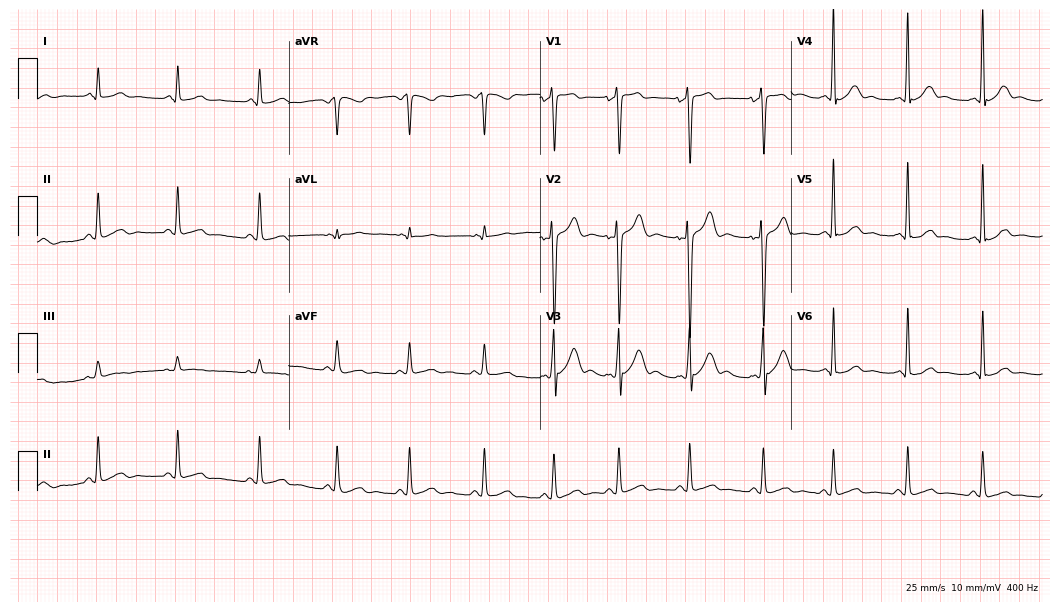
12-lead ECG from a 19-year-old male. Screened for six findings — first-degree AV block, right bundle branch block, left bundle branch block, sinus bradycardia, atrial fibrillation, sinus tachycardia — none is recorded. Findings outside these six are not listed.